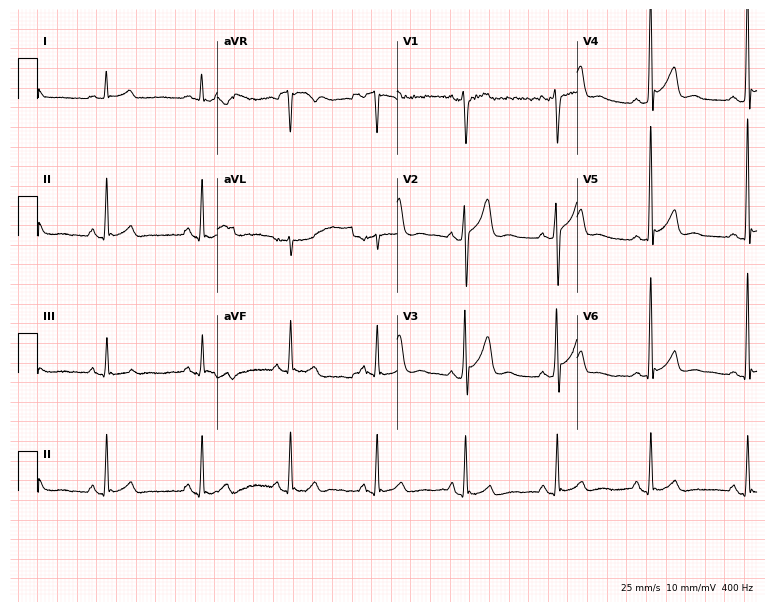
12-lead ECG (7.3-second recording at 400 Hz) from a 34-year-old male. Screened for six findings — first-degree AV block, right bundle branch block, left bundle branch block, sinus bradycardia, atrial fibrillation, sinus tachycardia — none is recorded.